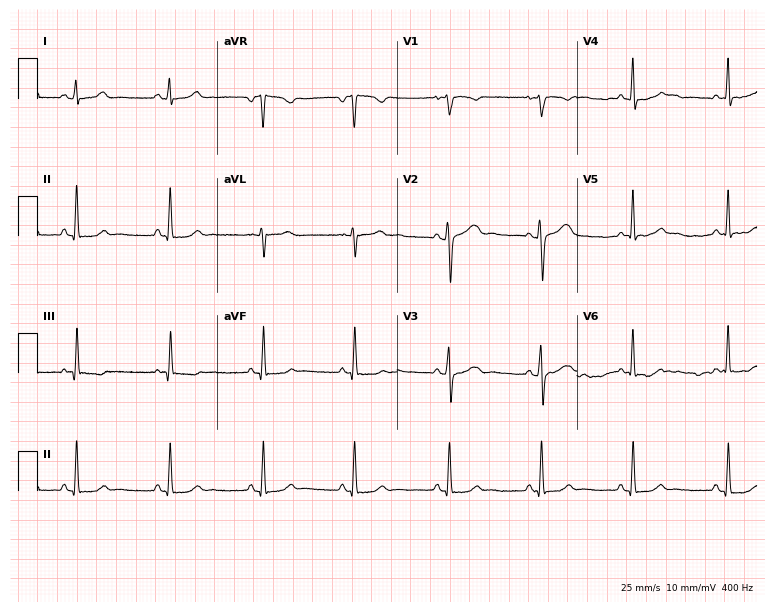
12-lead ECG from a 36-year-old female patient. Labelled as a normal ECG.